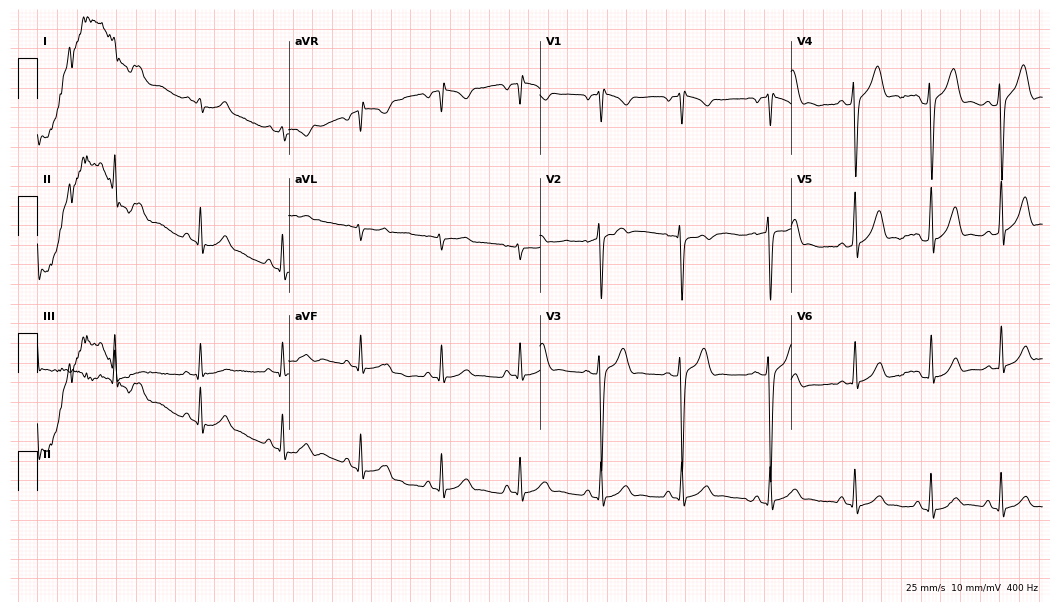
ECG — a male patient, 18 years old. Labelled as a normal ECG.